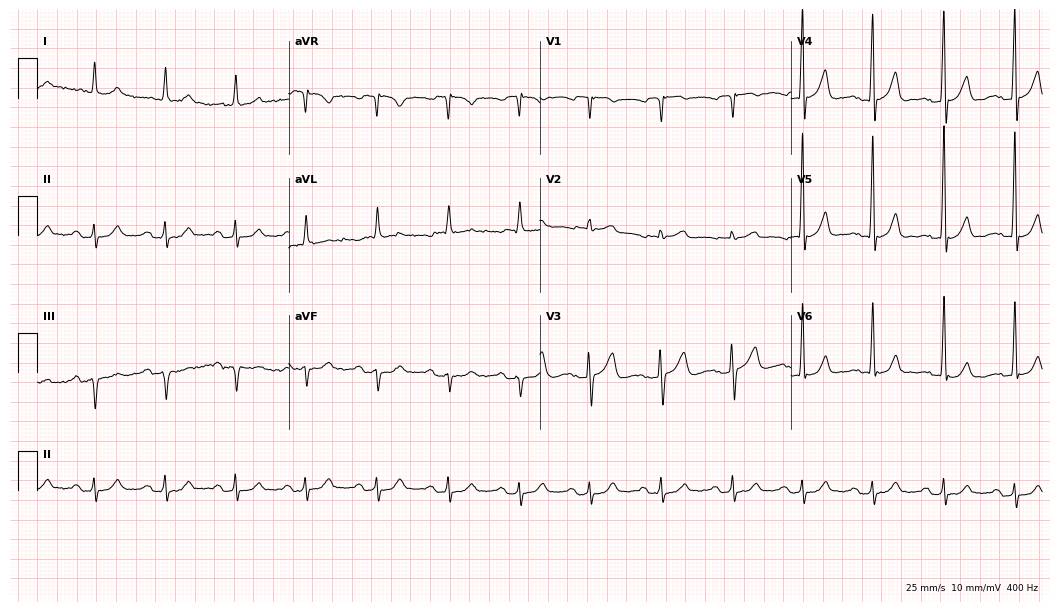
12-lead ECG (10.2-second recording at 400 Hz) from a woman, 76 years old. Screened for six findings — first-degree AV block, right bundle branch block (RBBB), left bundle branch block (LBBB), sinus bradycardia, atrial fibrillation (AF), sinus tachycardia — none is recorded. Other findings, if any, are not listed.